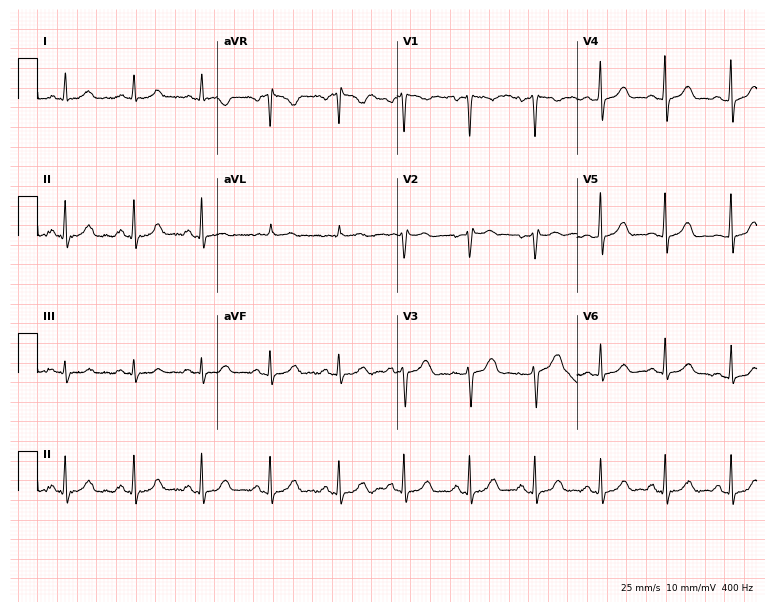
12-lead ECG from a female, 46 years old. Screened for six findings — first-degree AV block, right bundle branch block, left bundle branch block, sinus bradycardia, atrial fibrillation, sinus tachycardia — none is recorded. Findings outside these six are not listed.